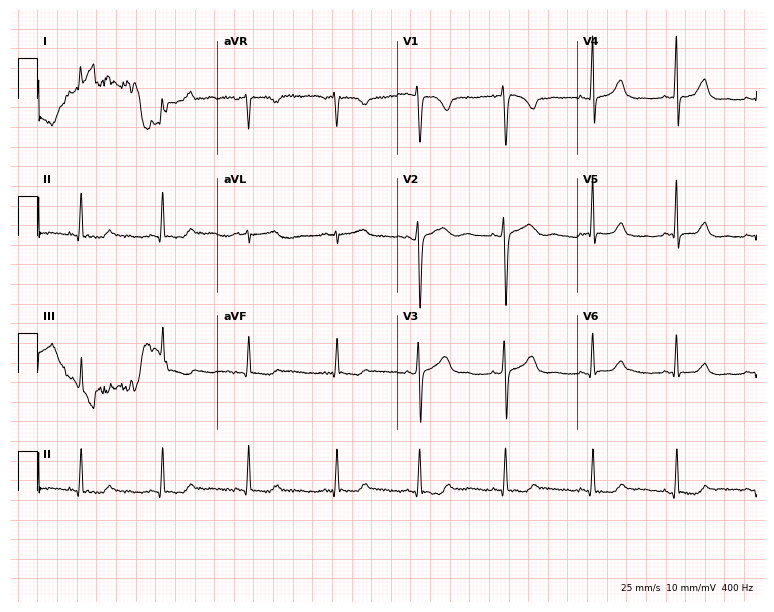
12-lead ECG from a 26-year-old female. No first-degree AV block, right bundle branch block, left bundle branch block, sinus bradycardia, atrial fibrillation or sinus tachycardia recorded for this tracing.